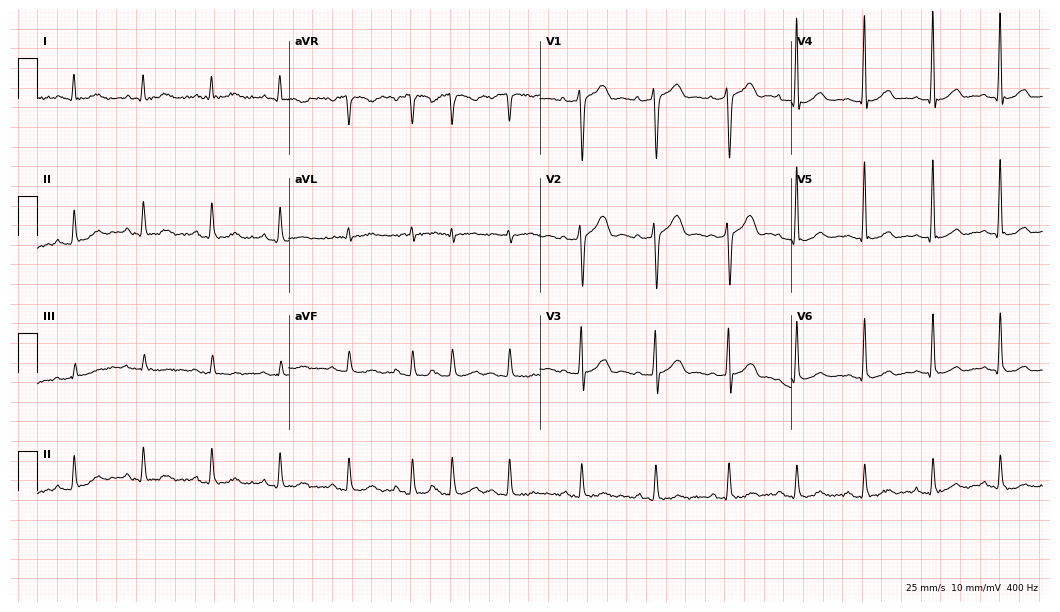
12-lead ECG (10.2-second recording at 400 Hz) from a 59-year-old male patient. Screened for six findings — first-degree AV block, right bundle branch block, left bundle branch block, sinus bradycardia, atrial fibrillation, sinus tachycardia — none is recorded.